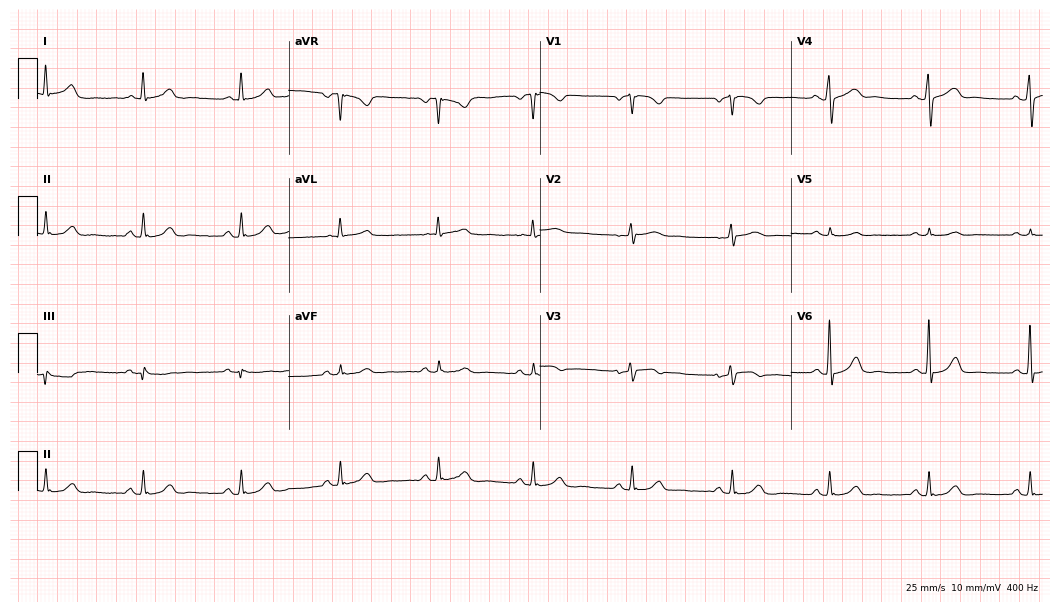
Standard 12-lead ECG recorded from a 67-year-old female (10.2-second recording at 400 Hz). Read as a normal ECG.